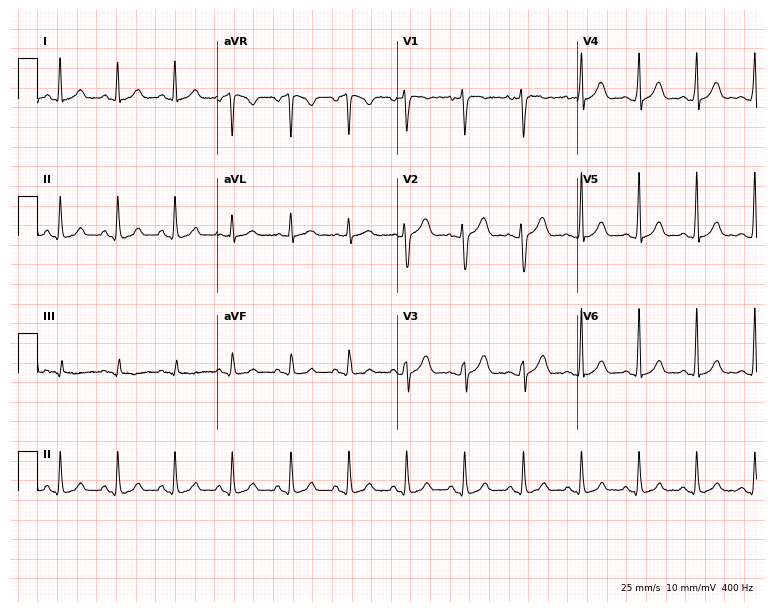
Resting 12-lead electrocardiogram (7.3-second recording at 400 Hz). Patient: a man, 34 years old. None of these six findings is recorded: first-degree AV block, right bundle branch block (RBBB), left bundle branch block (LBBB), sinus bradycardia, atrial fibrillation (AF), sinus tachycardia.